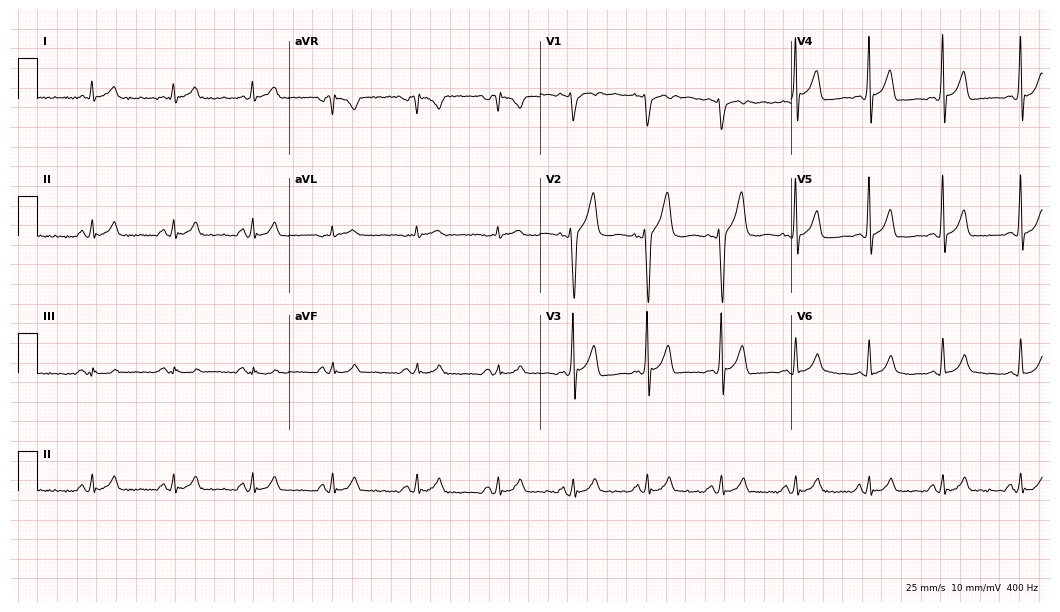
ECG (10.2-second recording at 400 Hz) — a 55-year-old male. Labelled as a normal ECG.